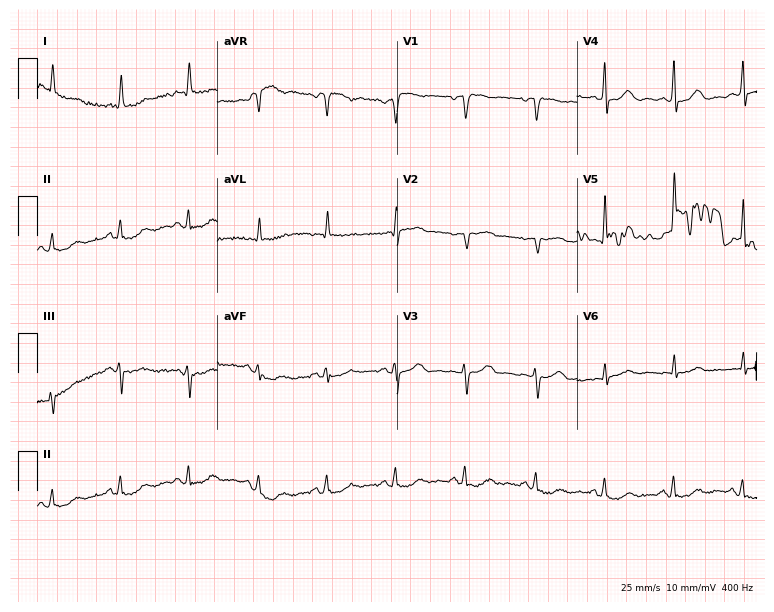
12-lead ECG (7.3-second recording at 400 Hz) from an 81-year-old female. Screened for six findings — first-degree AV block, right bundle branch block, left bundle branch block, sinus bradycardia, atrial fibrillation, sinus tachycardia — none is recorded. Other findings, if any, are not listed.